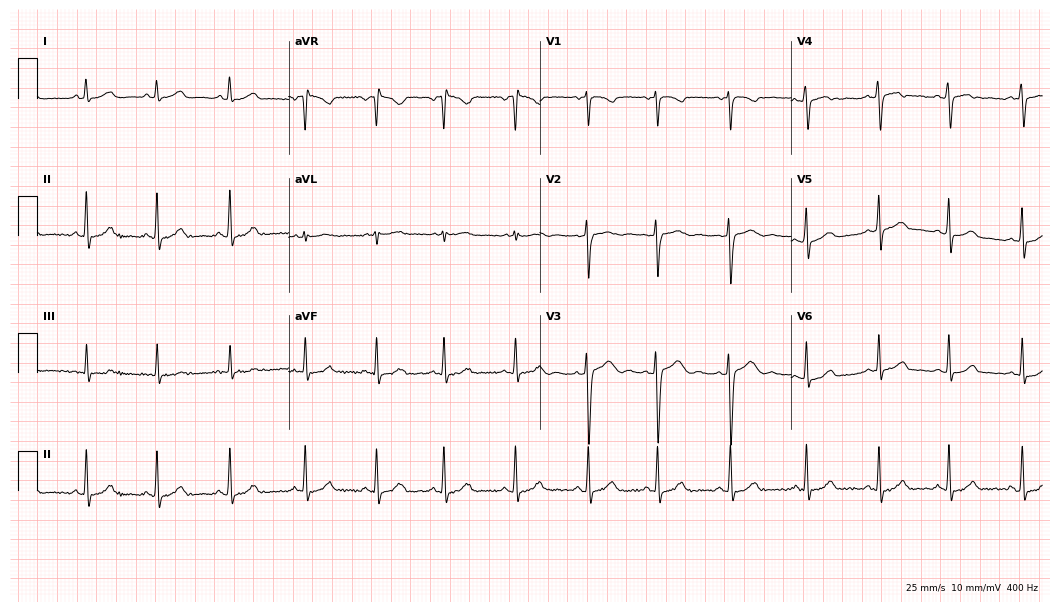
12-lead ECG (10.2-second recording at 400 Hz) from a female patient, 17 years old. Labelled as a normal ECG.